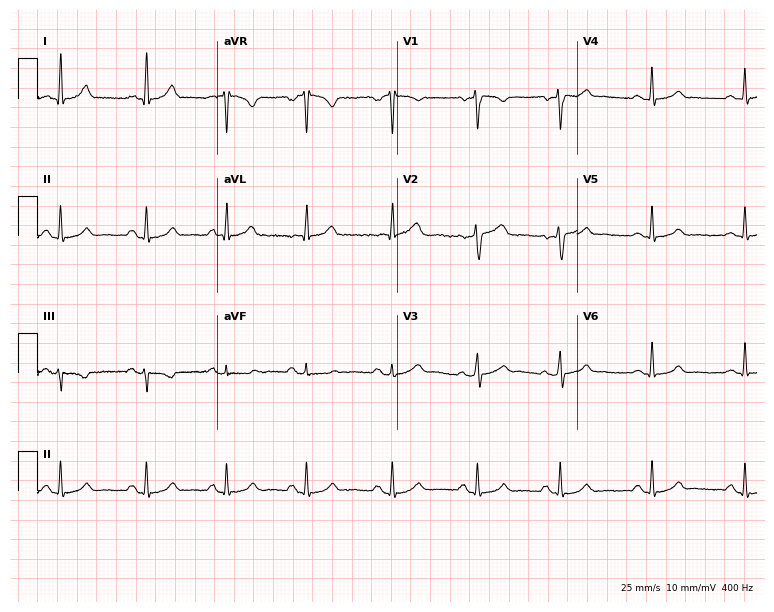
12-lead ECG from a female, 31 years old. No first-degree AV block, right bundle branch block, left bundle branch block, sinus bradycardia, atrial fibrillation or sinus tachycardia recorded for this tracing.